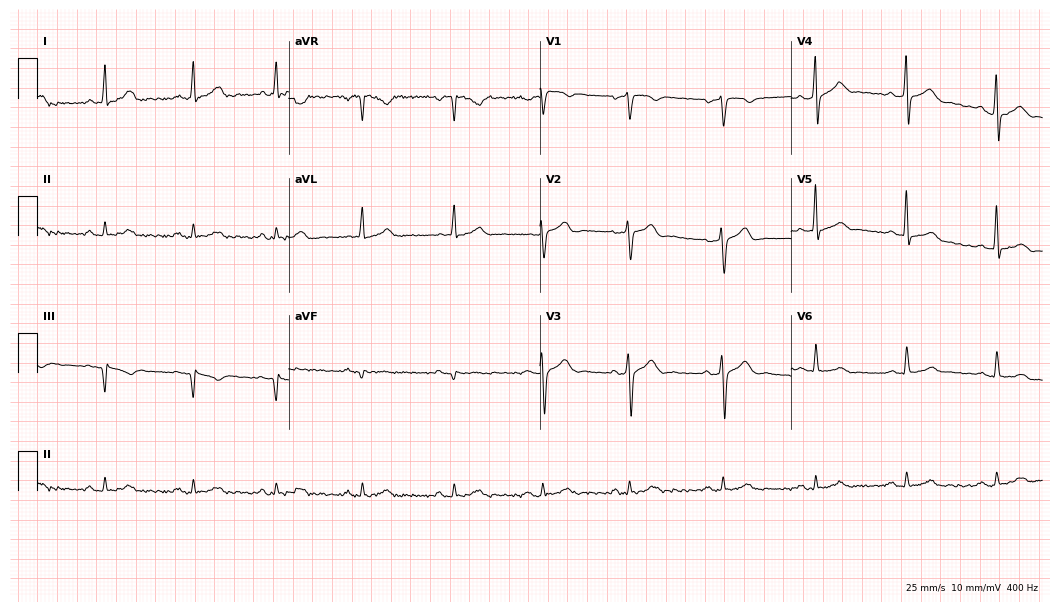
12-lead ECG from a male patient, 36 years old. Labelled as a normal ECG.